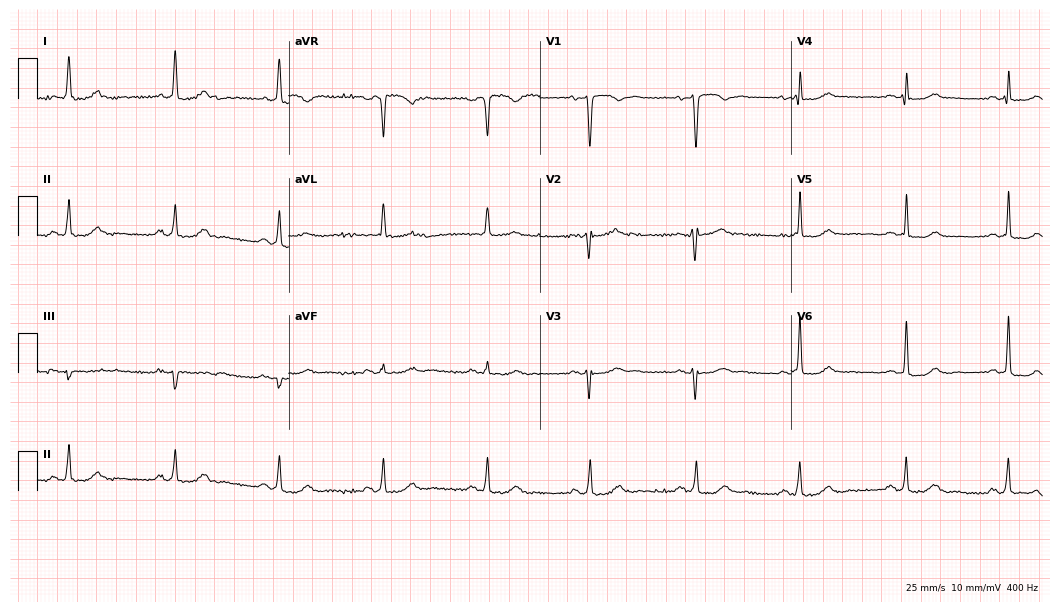
Electrocardiogram (10.2-second recording at 400 Hz), a woman, 75 years old. Of the six screened findings (first-degree AV block, right bundle branch block (RBBB), left bundle branch block (LBBB), sinus bradycardia, atrial fibrillation (AF), sinus tachycardia), none is recorded.